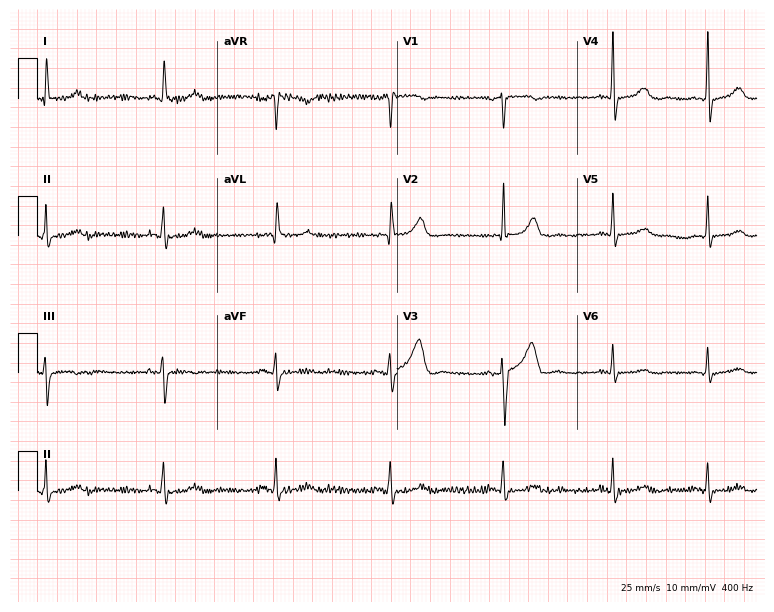
Electrocardiogram (7.3-second recording at 400 Hz), a 75-year-old male. Overall reading on record: normal ECG.